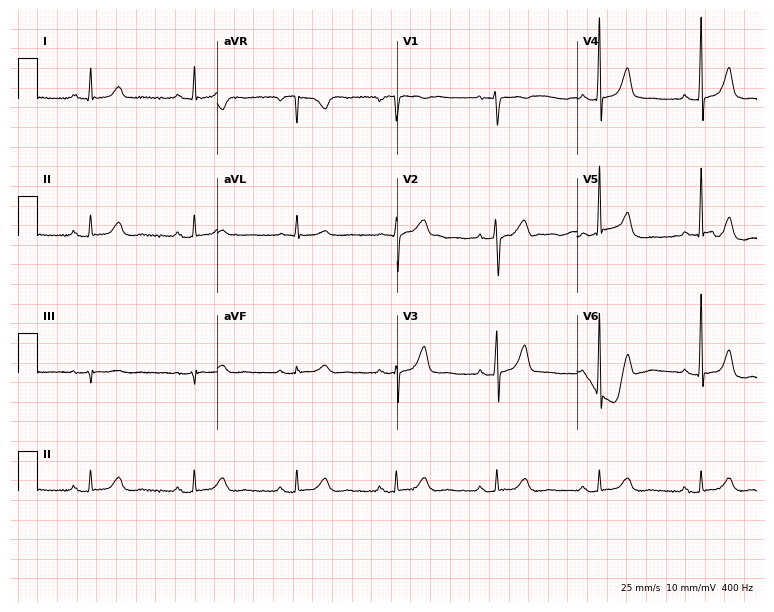
12-lead ECG from a female patient, 51 years old. Labelled as a normal ECG.